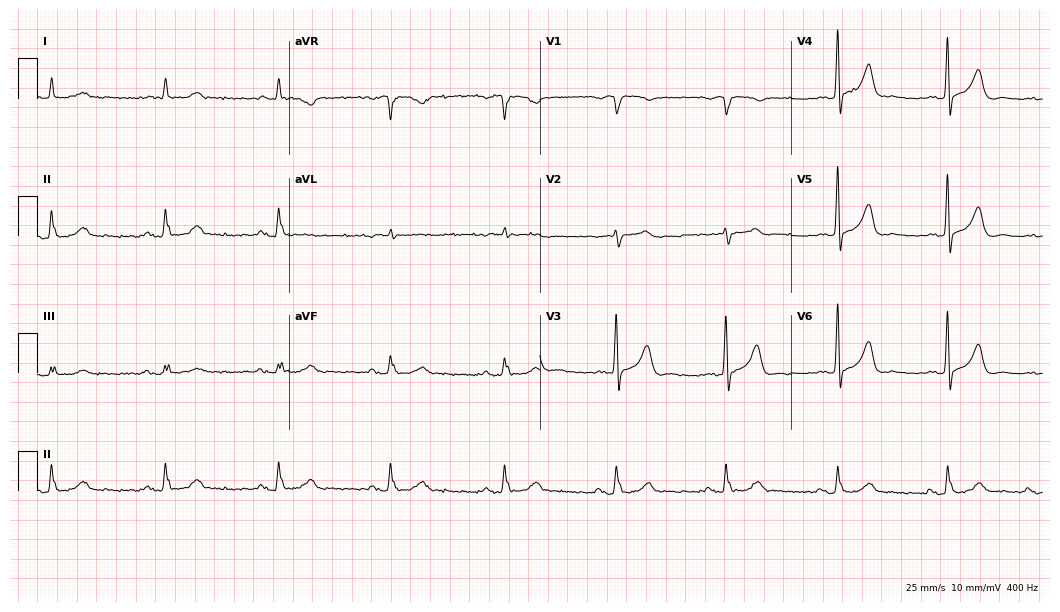
Standard 12-lead ECG recorded from a male patient, 83 years old (10.2-second recording at 400 Hz). None of these six findings is recorded: first-degree AV block, right bundle branch block, left bundle branch block, sinus bradycardia, atrial fibrillation, sinus tachycardia. Findings outside these six are not listed.